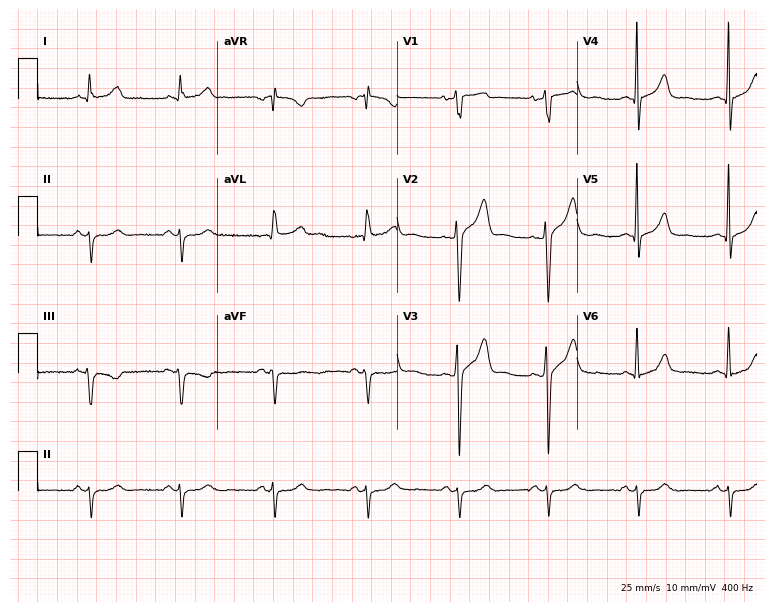
Standard 12-lead ECG recorded from a male patient, 49 years old (7.3-second recording at 400 Hz). None of these six findings is recorded: first-degree AV block, right bundle branch block, left bundle branch block, sinus bradycardia, atrial fibrillation, sinus tachycardia. Only these six findings were labelled.